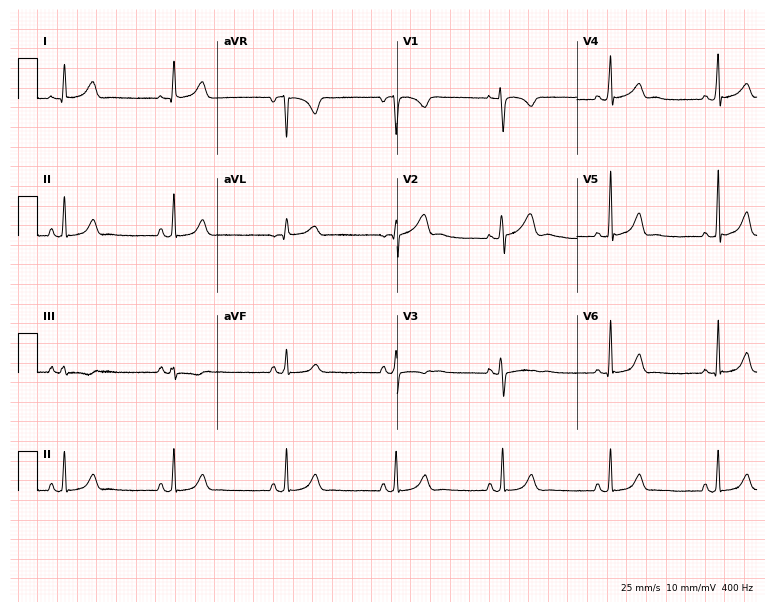
Resting 12-lead electrocardiogram (7.3-second recording at 400 Hz). Patient: a 23-year-old female. None of these six findings is recorded: first-degree AV block, right bundle branch block, left bundle branch block, sinus bradycardia, atrial fibrillation, sinus tachycardia.